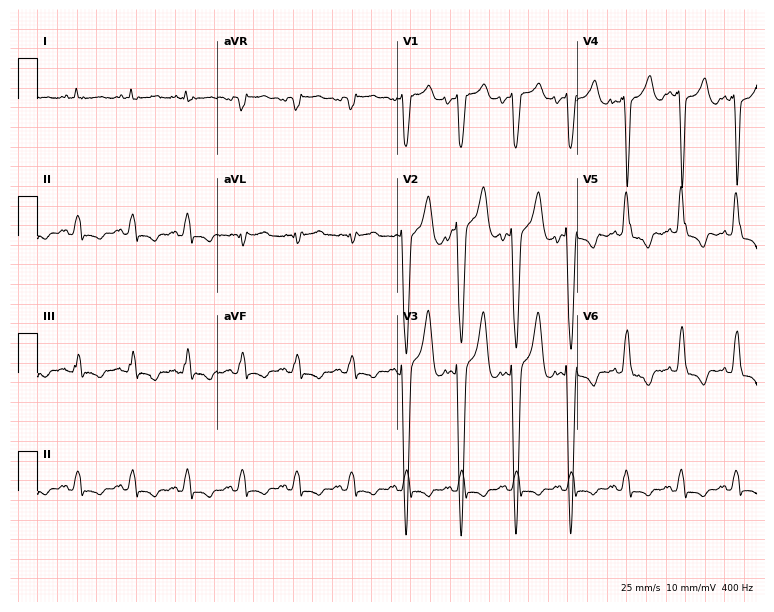
Standard 12-lead ECG recorded from a female patient, 81 years old (7.3-second recording at 400 Hz). The tracing shows left bundle branch block, sinus tachycardia (a sinus rate of 100 beats per minute or more).